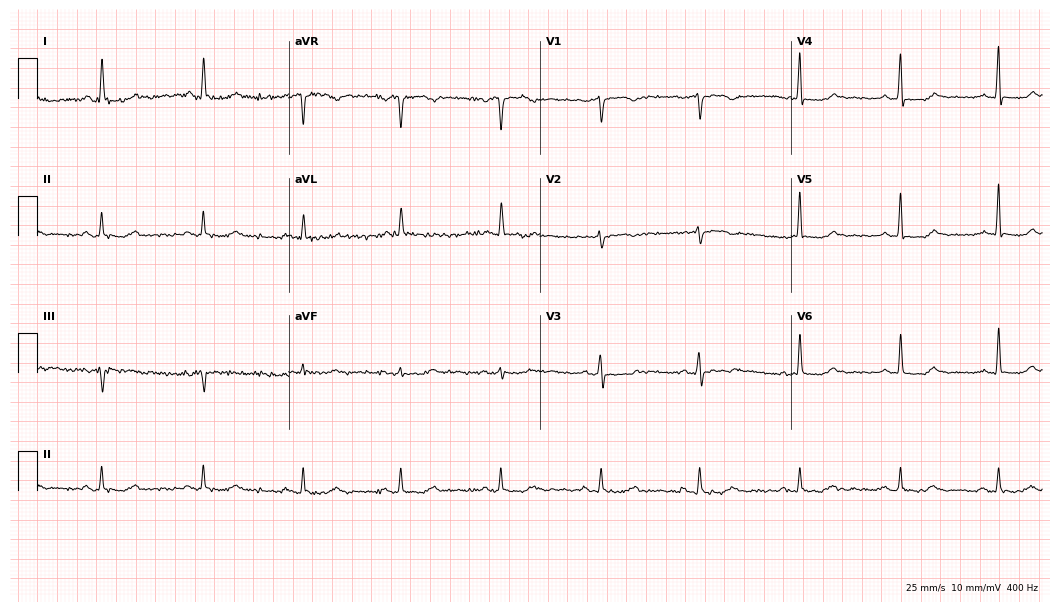
12-lead ECG from a 62-year-old woman. No first-degree AV block, right bundle branch block, left bundle branch block, sinus bradycardia, atrial fibrillation or sinus tachycardia recorded for this tracing. Only these six findings were labelled.